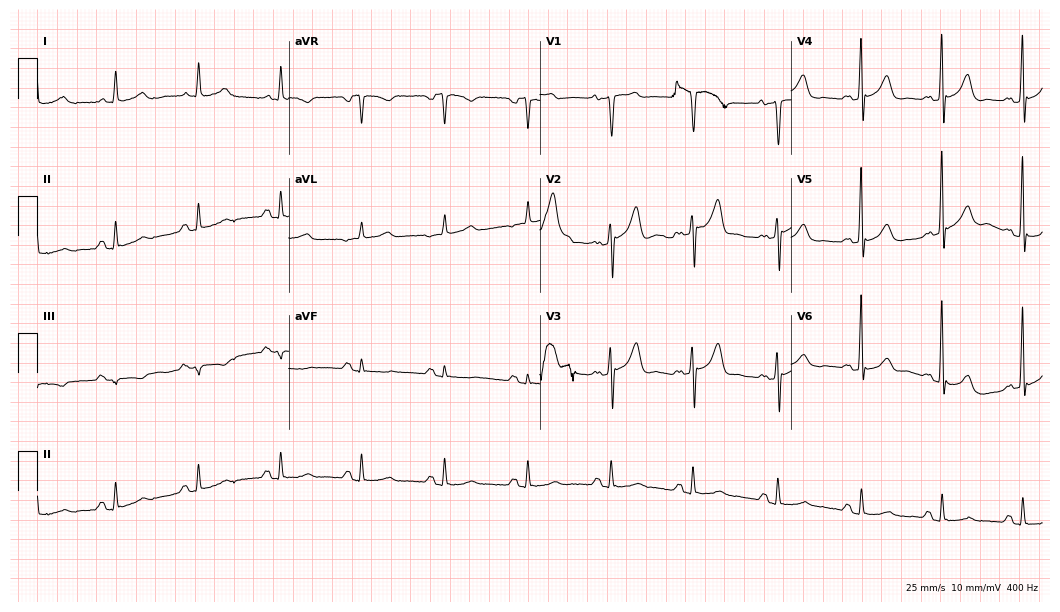
ECG (10.2-second recording at 400 Hz) — a male patient, 75 years old. Screened for six findings — first-degree AV block, right bundle branch block (RBBB), left bundle branch block (LBBB), sinus bradycardia, atrial fibrillation (AF), sinus tachycardia — none is recorded.